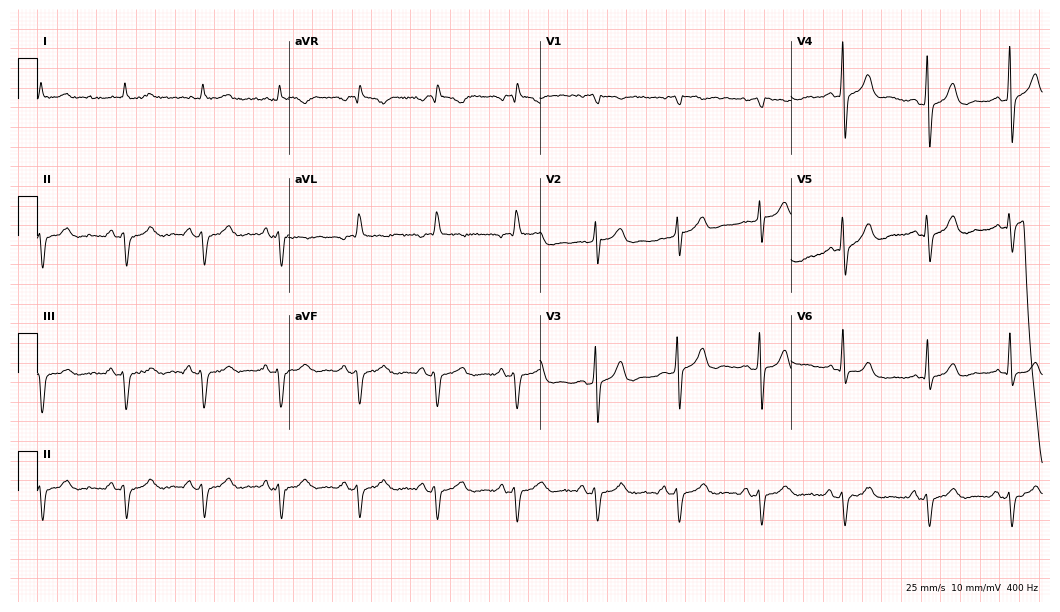
ECG (10.2-second recording at 400 Hz) — a 67-year-old male. Screened for six findings — first-degree AV block, right bundle branch block, left bundle branch block, sinus bradycardia, atrial fibrillation, sinus tachycardia — none is recorded.